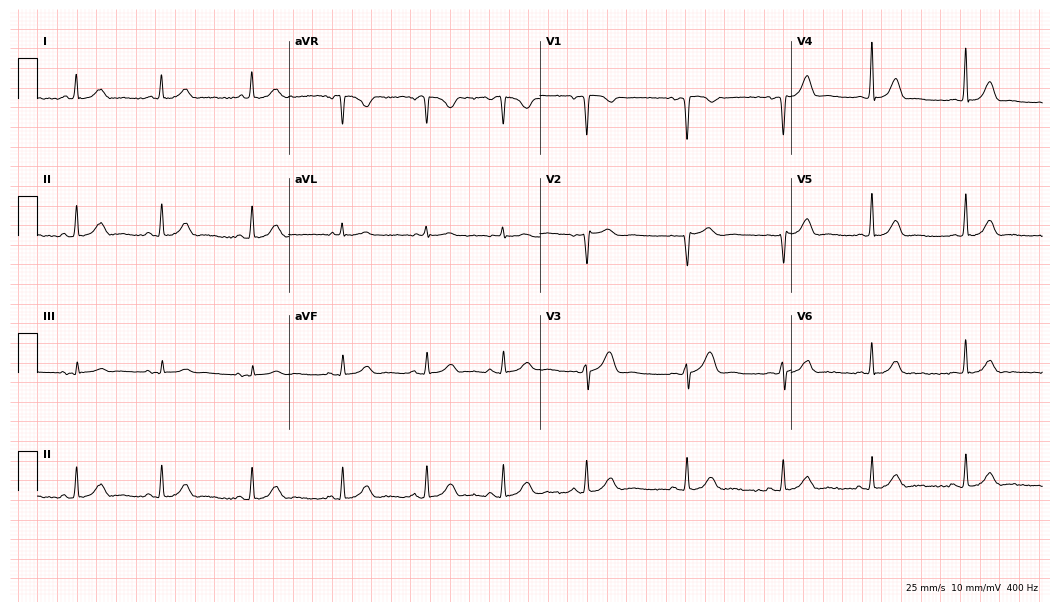
12-lead ECG from a 31-year-old female patient (10.2-second recording at 400 Hz). No first-degree AV block, right bundle branch block, left bundle branch block, sinus bradycardia, atrial fibrillation or sinus tachycardia recorded for this tracing. Other findings, if any, are not listed.